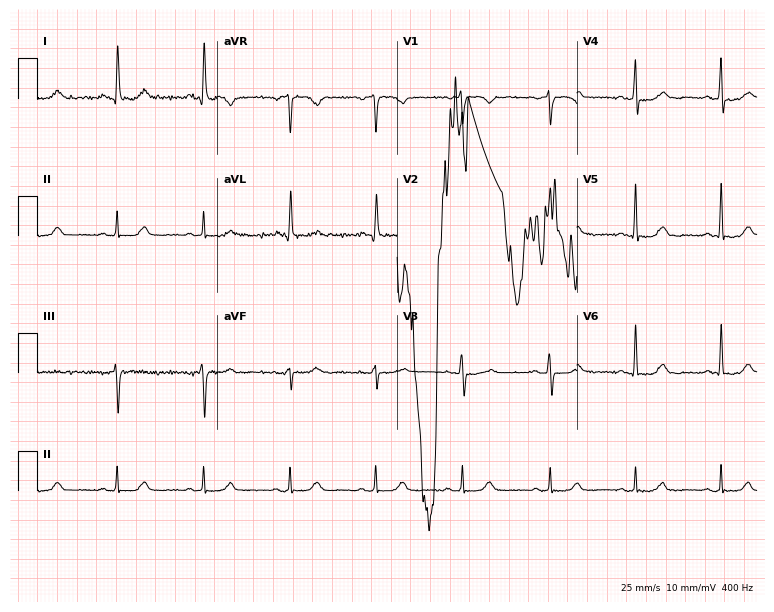
ECG (7.3-second recording at 400 Hz) — a female, 80 years old. Findings include atrial fibrillation.